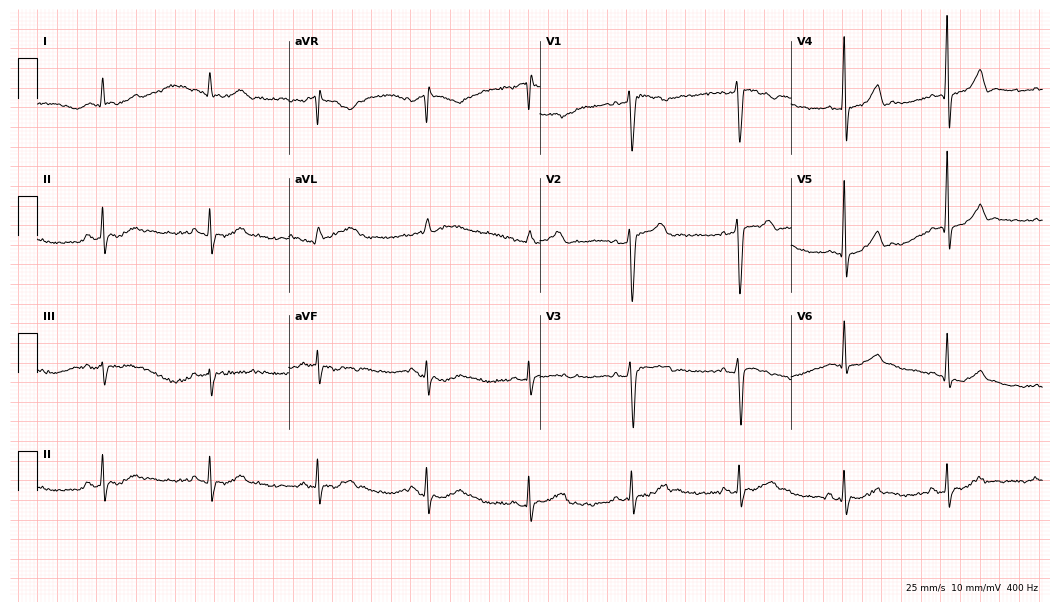
Resting 12-lead electrocardiogram (10.2-second recording at 400 Hz). Patient: a 50-year-old male. Read as a normal ECG.